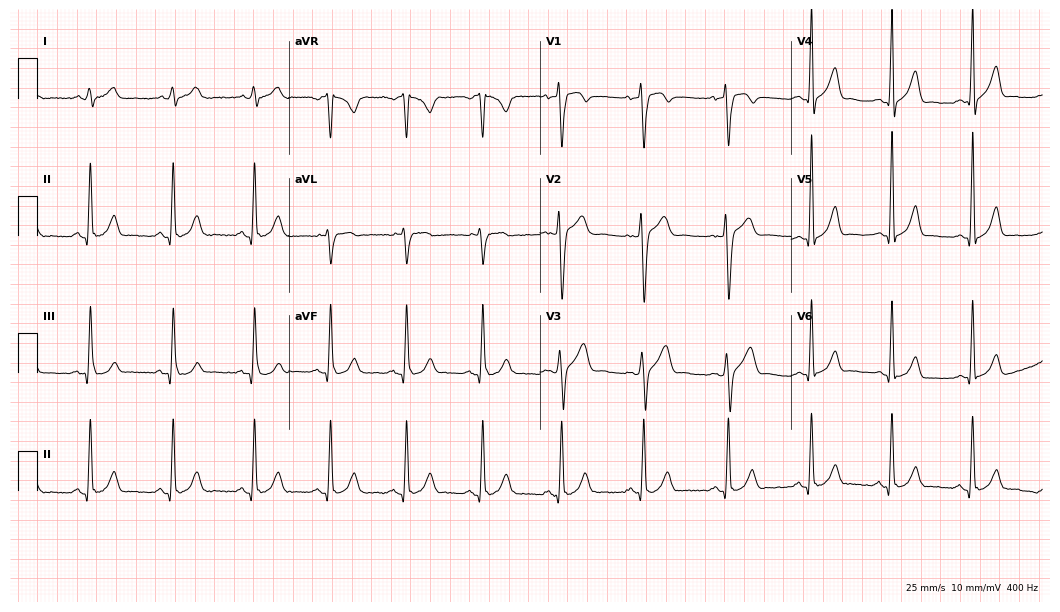
12-lead ECG from a man, 28 years old. Screened for six findings — first-degree AV block, right bundle branch block (RBBB), left bundle branch block (LBBB), sinus bradycardia, atrial fibrillation (AF), sinus tachycardia — none is recorded. Other findings, if any, are not listed.